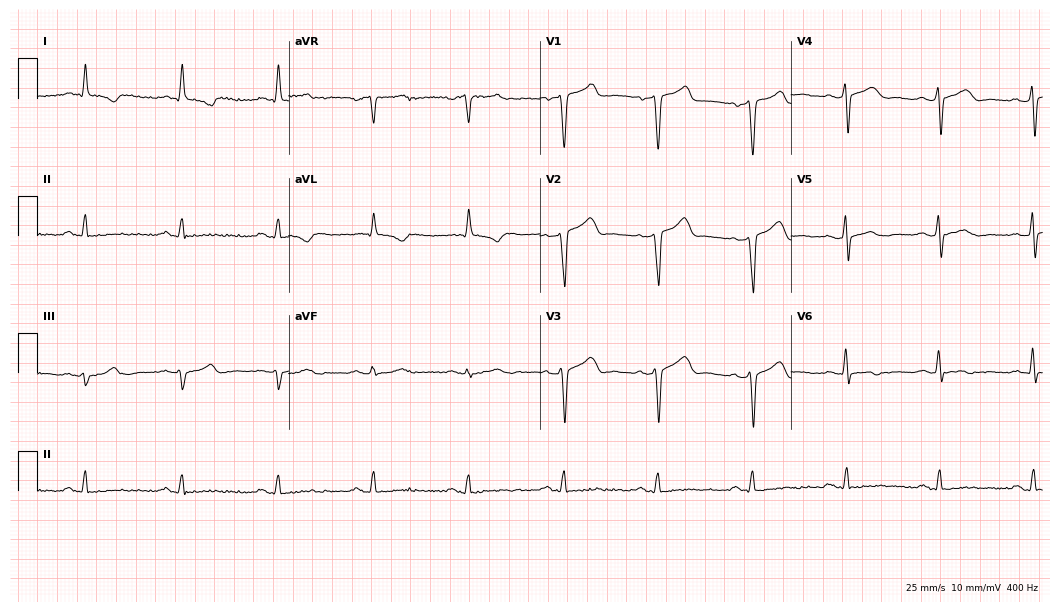
Resting 12-lead electrocardiogram. Patient: a man, 56 years old. None of these six findings is recorded: first-degree AV block, right bundle branch block, left bundle branch block, sinus bradycardia, atrial fibrillation, sinus tachycardia.